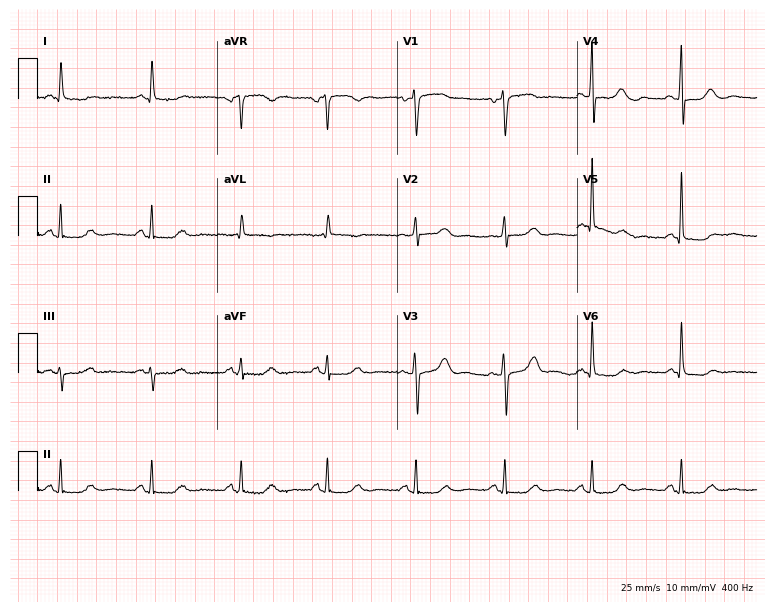
Electrocardiogram, a female, 57 years old. Of the six screened findings (first-degree AV block, right bundle branch block, left bundle branch block, sinus bradycardia, atrial fibrillation, sinus tachycardia), none is recorded.